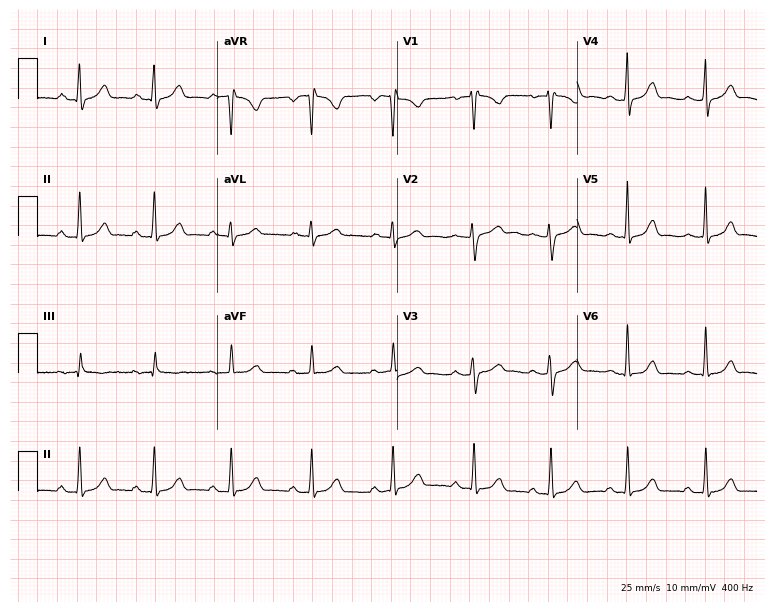
Standard 12-lead ECG recorded from a female, 25 years old. None of these six findings is recorded: first-degree AV block, right bundle branch block, left bundle branch block, sinus bradycardia, atrial fibrillation, sinus tachycardia.